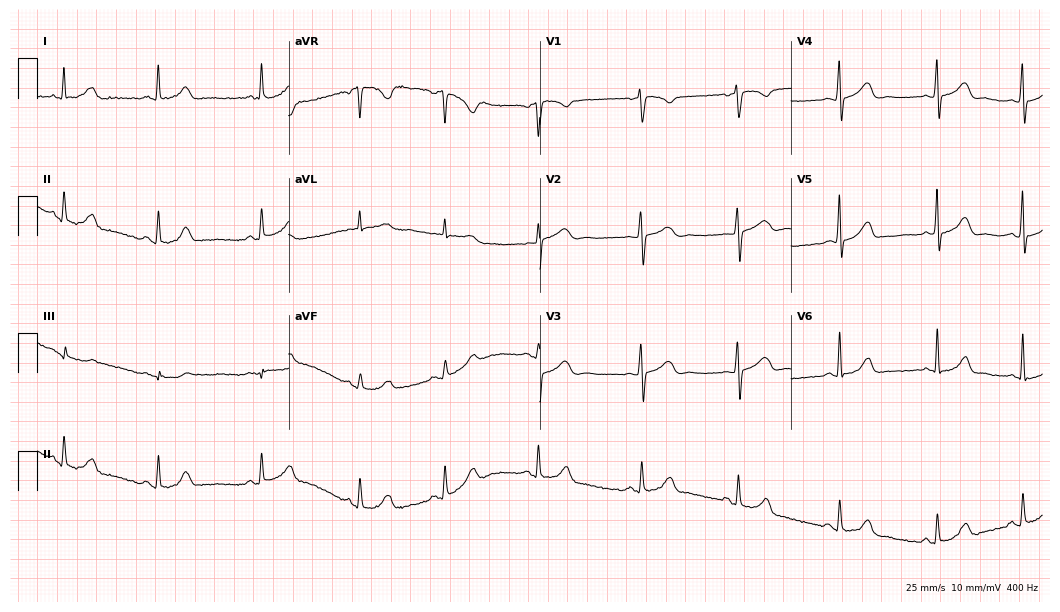
ECG (10.2-second recording at 400 Hz) — a female, 32 years old. Screened for six findings — first-degree AV block, right bundle branch block, left bundle branch block, sinus bradycardia, atrial fibrillation, sinus tachycardia — none is recorded.